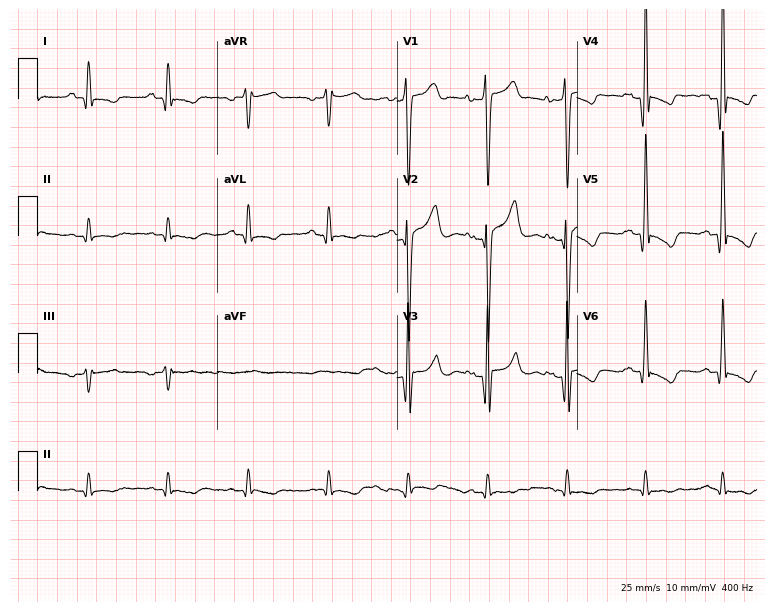
12-lead ECG from a 49-year-old male. No first-degree AV block, right bundle branch block, left bundle branch block, sinus bradycardia, atrial fibrillation or sinus tachycardia recorded for this tracing.